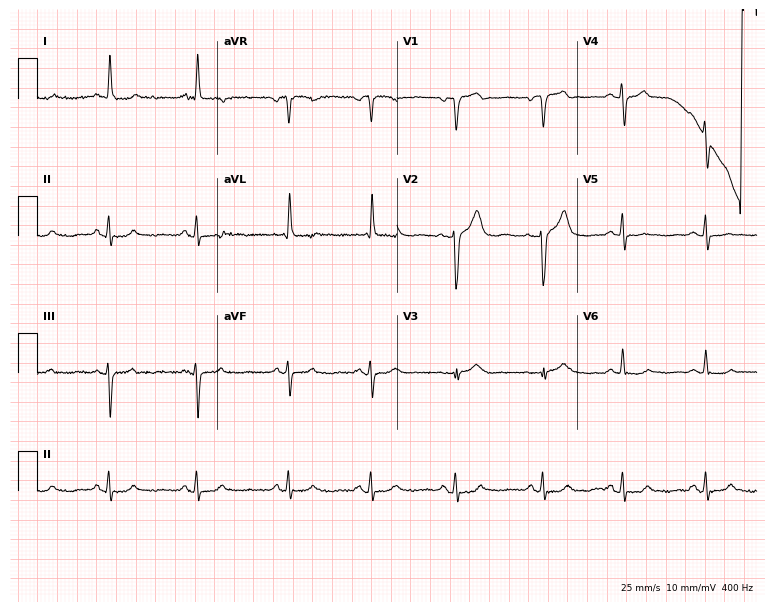
ECG — a 58-year-old woman. Labelled as a normal ECG.